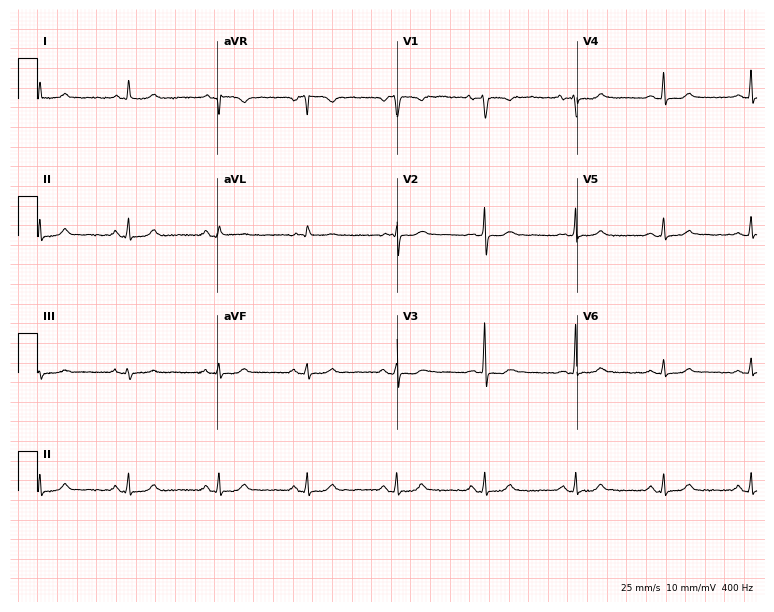
12-lead ECG from a 40-year-old female. Recorded interpretation: within normal limits.